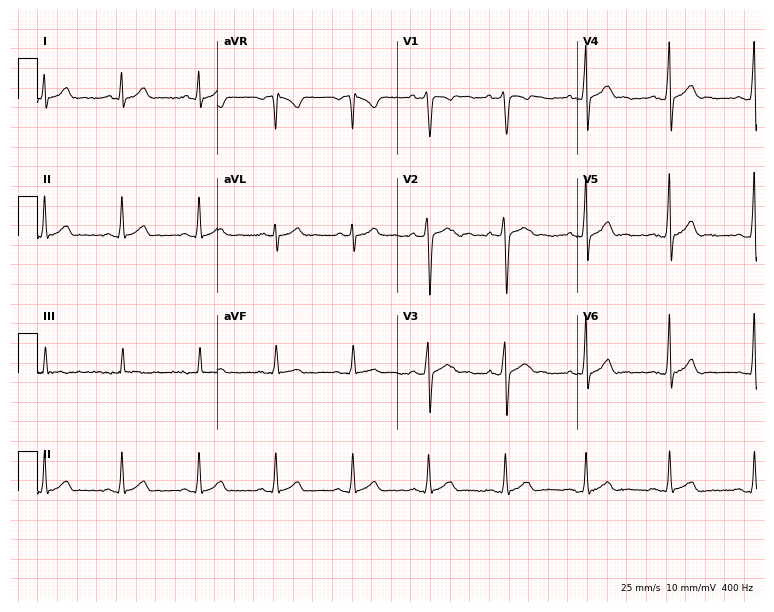
Electrocardiogram (7.3-second recording at 400 Hz), a male patient, 20 years old. Overall reading on record: normal ECG.